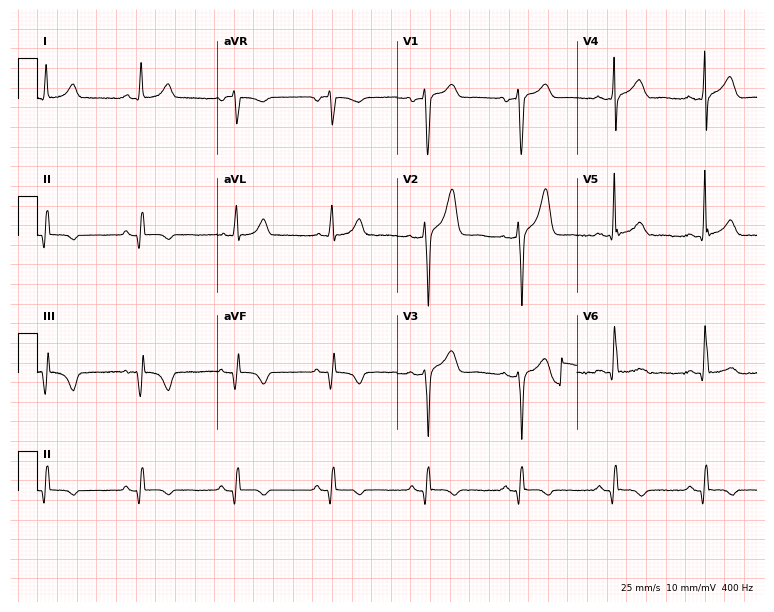
ECG (7.3-second recording at 400 Hz) — a man, 45 years old. Labelled as a normal ECG.